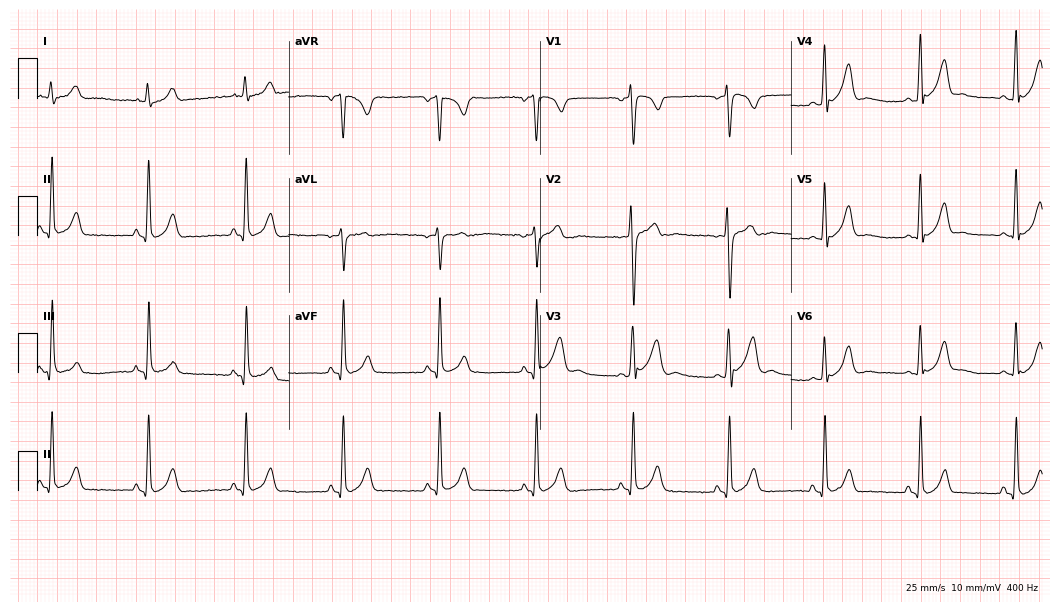
12-lead ECG (10.2-second recording at 400 Hz) from a 17-year-old man. Labelled as a normal ECG.